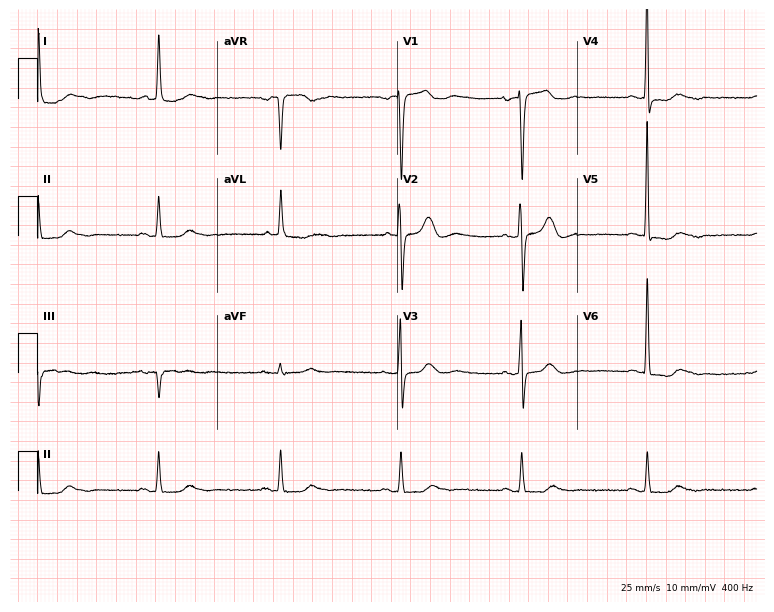
12-lead ECG from a female patient, 84 years old. Screened for six findings — first-degree AV block, right bundle branch block (RBBB), left bundle branch block (LBBB), sinus bradycardia, atrial fibrillation (AF), sinus tachycardia — none is recorded. Only these six findings were labelled.